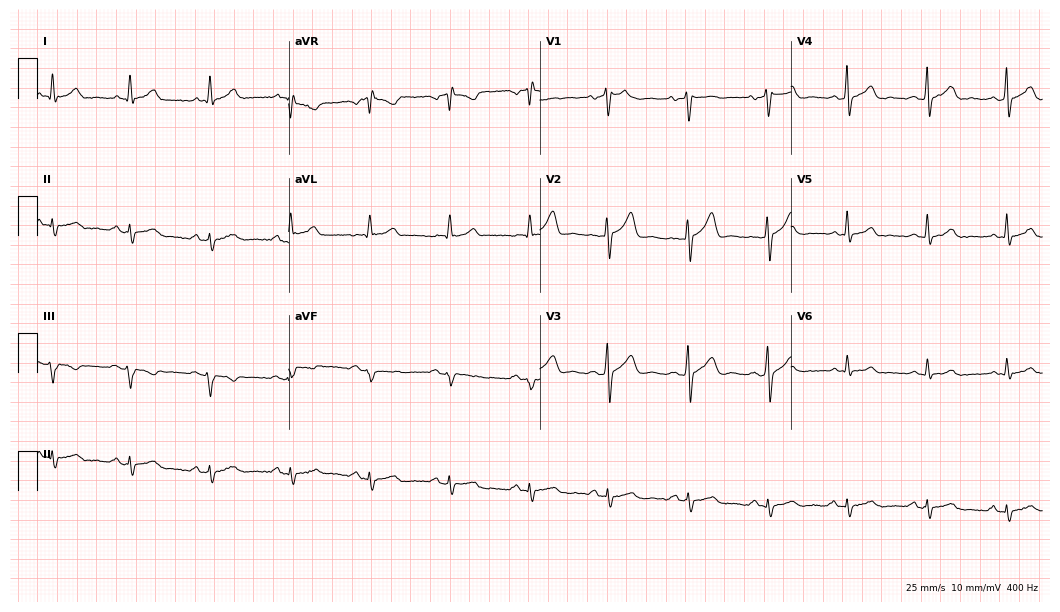
12-lead ECG (10.2-second recording at 400 Hz) from a man, 46 years old. Screened for six findings — first-degree AV block, right bundle branch block, left bundle branch block, sinus bradycardia, atrial fibrillation, sinus tachycardia — none is recorded.